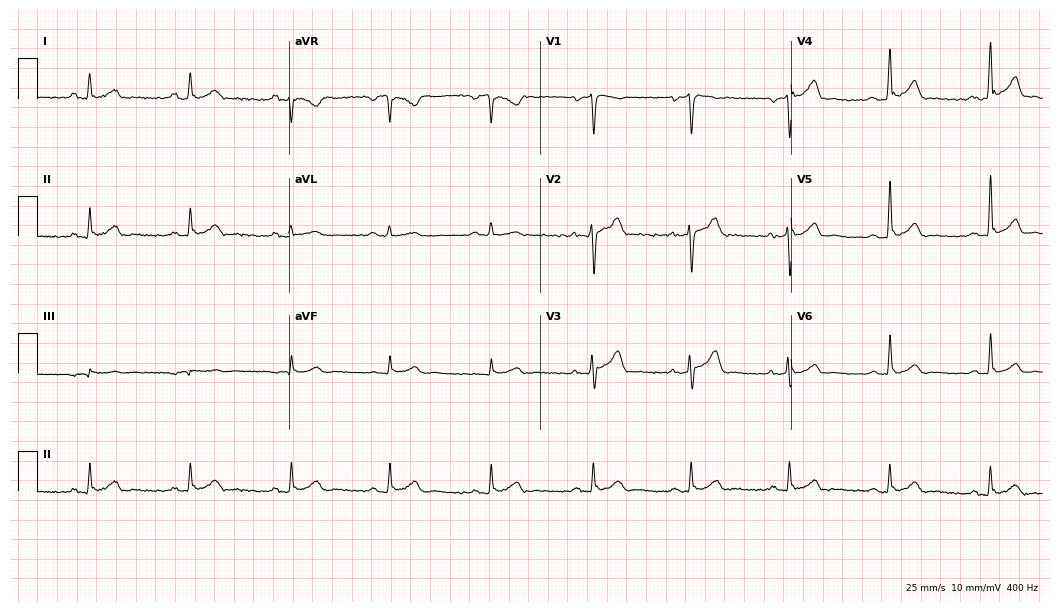
Resting 12-lead electrocardiogram (10.2-second recording at 400 Hz). Patient: a 40-year-old male. Read as a normal ECG.